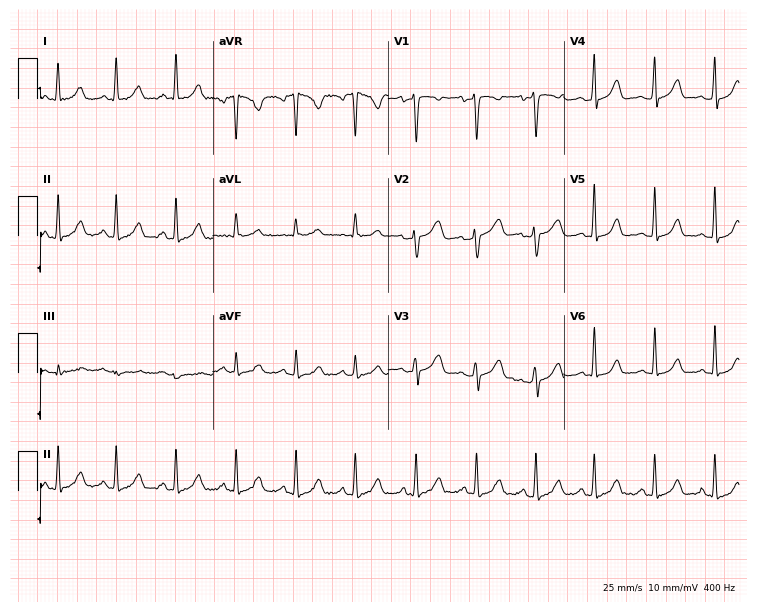
ECG — a female patient, 41 years old. Screened for six findings — first-degree AV block, right bundle branch block, left bundle branch block, sinus bradycardia, atrial fibrillation, sinus tachycardia — none is recorded.